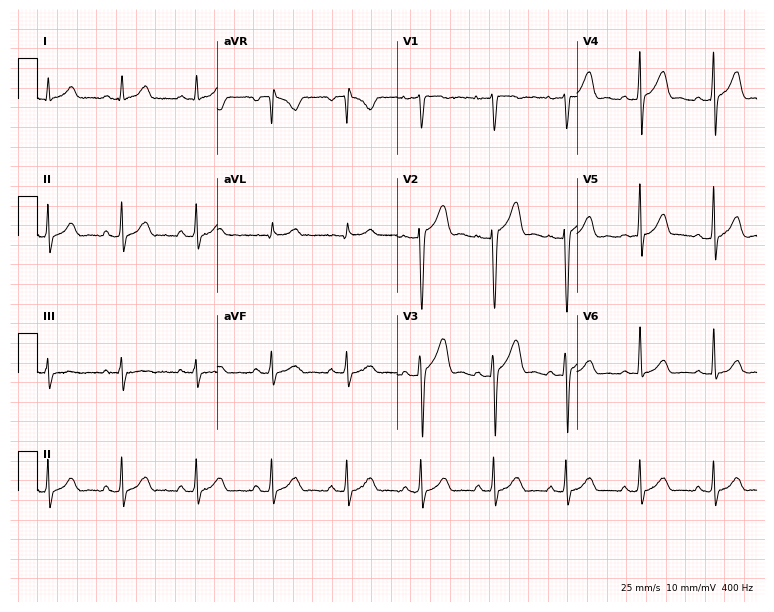
Resting 12-lead electrocardiogram (7.3-second recording at 400 Hz). Patient: a 28-year-old male. Read as a normal ECG.